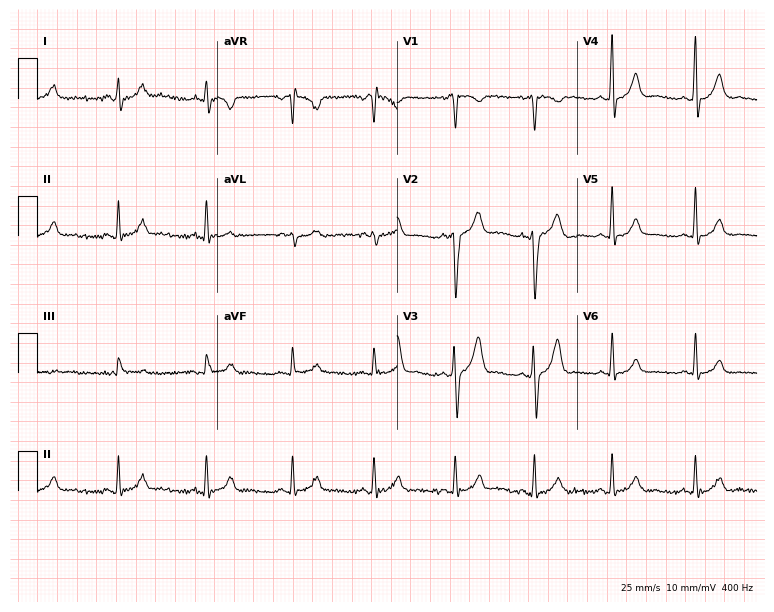
12-lead ECG from a 24-year-old man (7.3-second recording at 400 Hz). Recorded interpretation: within normal limits.